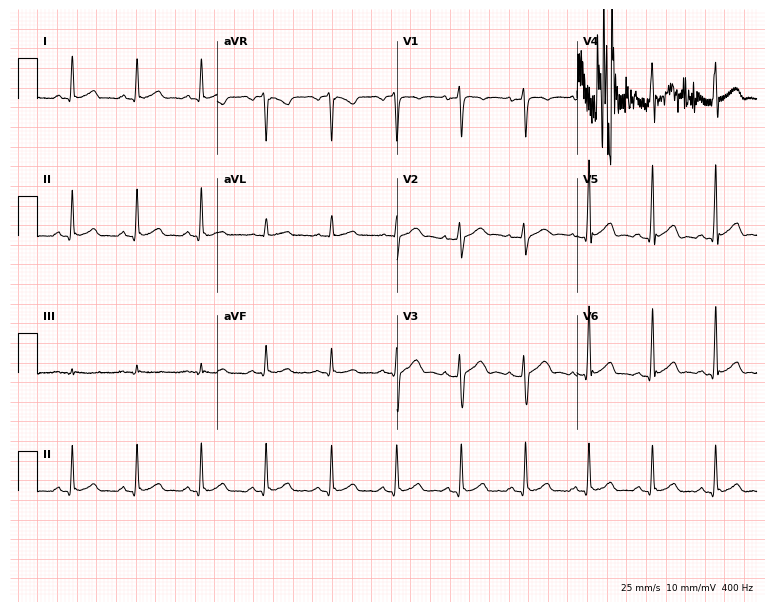
Resting 12-lead electrocardiogram. Patient: a 45-year-old male. None of these six findings is recorded: first-degree AV block, right bundle branch block (RBBB), left bundle branch block (LBBB), sinus bradycardia, atrial fibrillation (AF), sinus tachycardia. Findings outside these six are not listed.